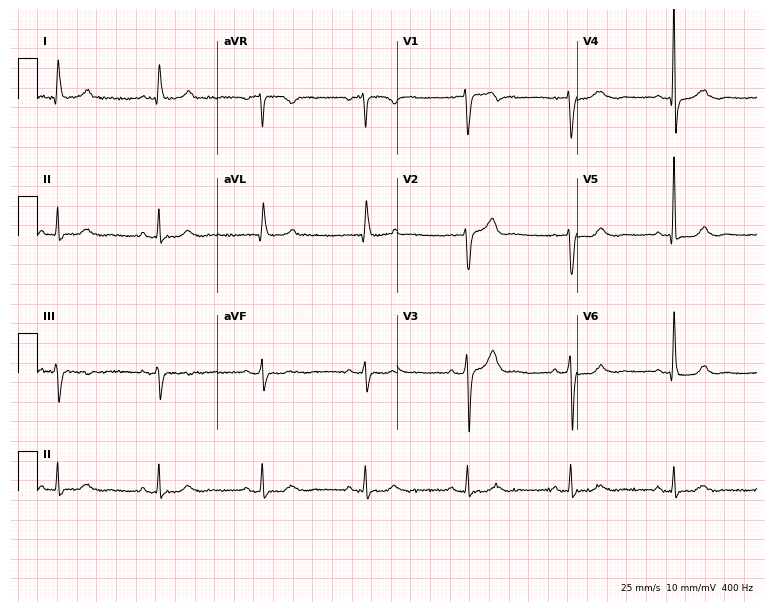
12-lead ECG from a male, 72 years old. Recorded interpretation: within normal limits.